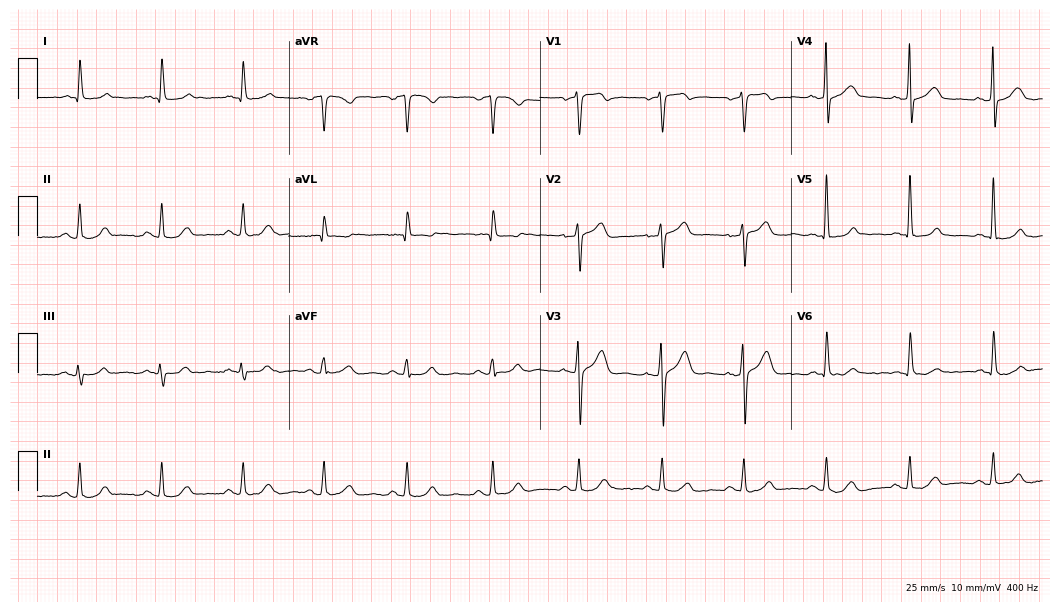
Standard 12-lead ECG recorded from a male patient, 65 years old (10.2-second recording at 400 Hz). Read as a normal ECG.